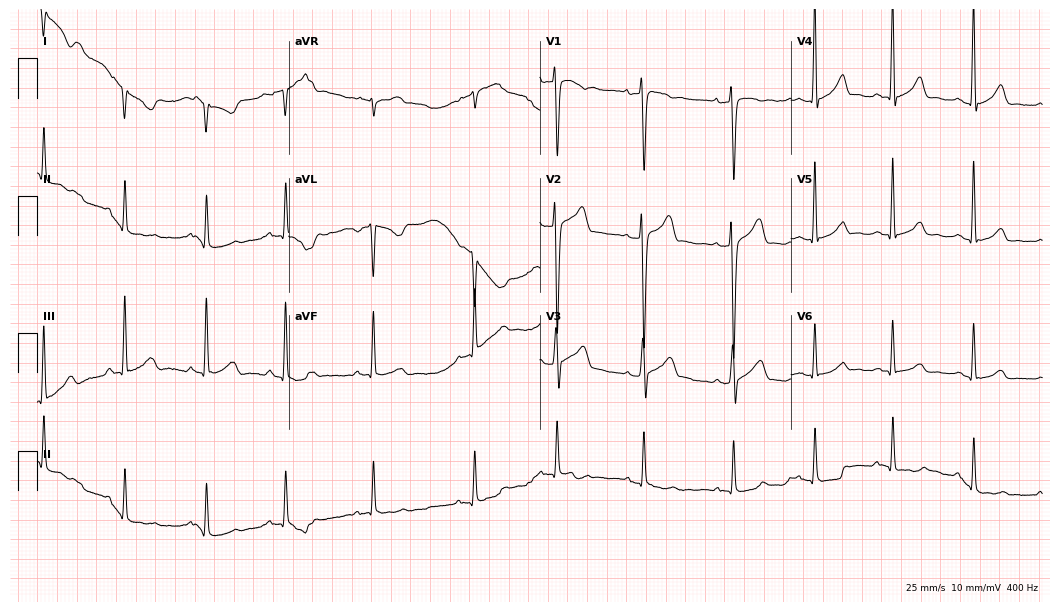
ECG — a man, 17 years old. Screened for six findings — first-degree AV block, right bundle branch block (RBBB), left bundle branch block (LBBB), sinus bradycardia, atrial fibrillation (AF), sinus tachycardia — none is recorded. Only these six findings were labelled.